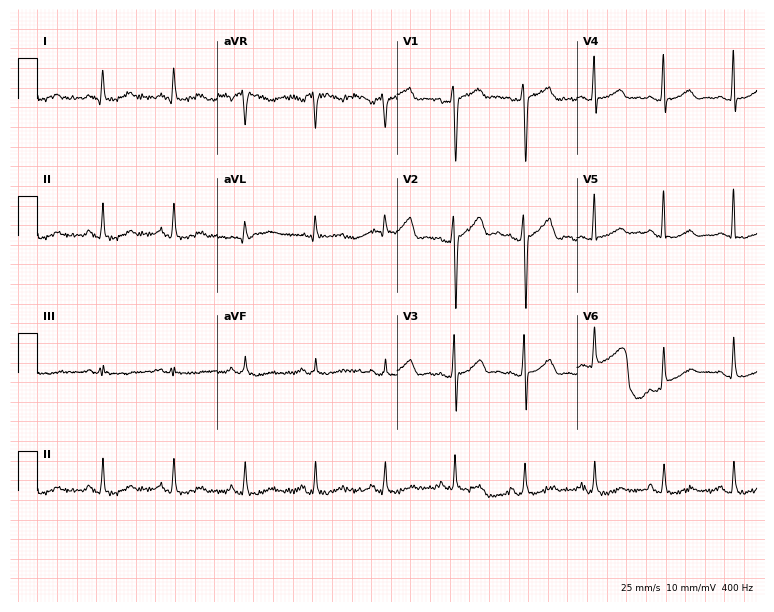
Electrocardiogram, a 54-year-old male patient. Of the six screened findings (first-degree AV block, right bundle branch block, left bundle branch block, sinus bradycardia, atrial fibrillation, sinus tachycardia), none is recorded.